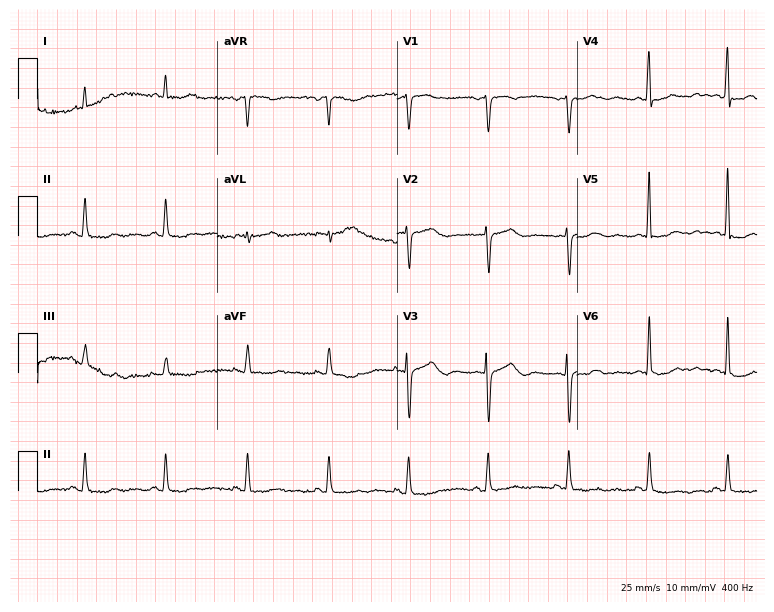
Resting 12-lead electrocardiogram. Patient: a 49-year-old female. None of these six findings is recorded: first-degree AV block, right bundle branch block, left bundle branch block, sinus bradycardia, atrial fibrillation, sinus tachycardia. Only these six findings were labelled.